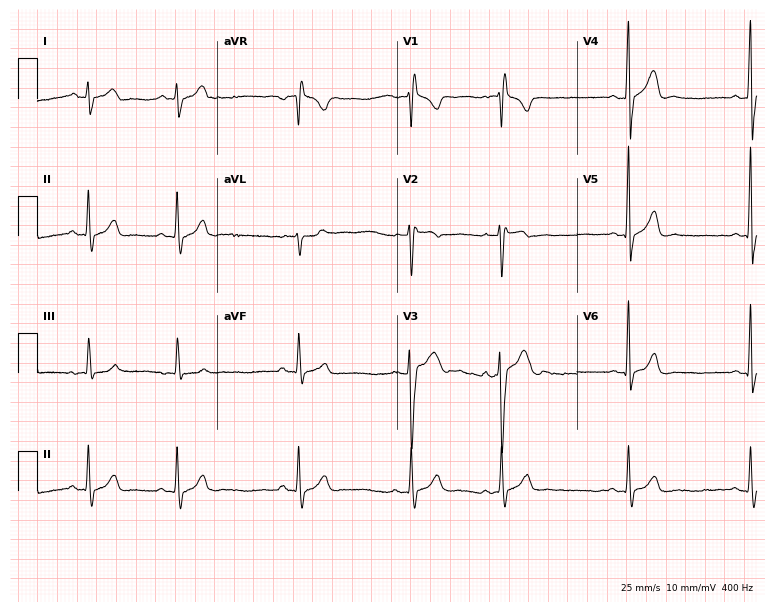
ECG — a 20-year-old man. Screened for six findings — first-degree AV block, right bundle branch block (RBBB), left bundle branch block (LBBB), sinus bradycardia, atrial fibrillation (AF), sinus tachycardia — none is recorded. Findings outside these six are not listed.